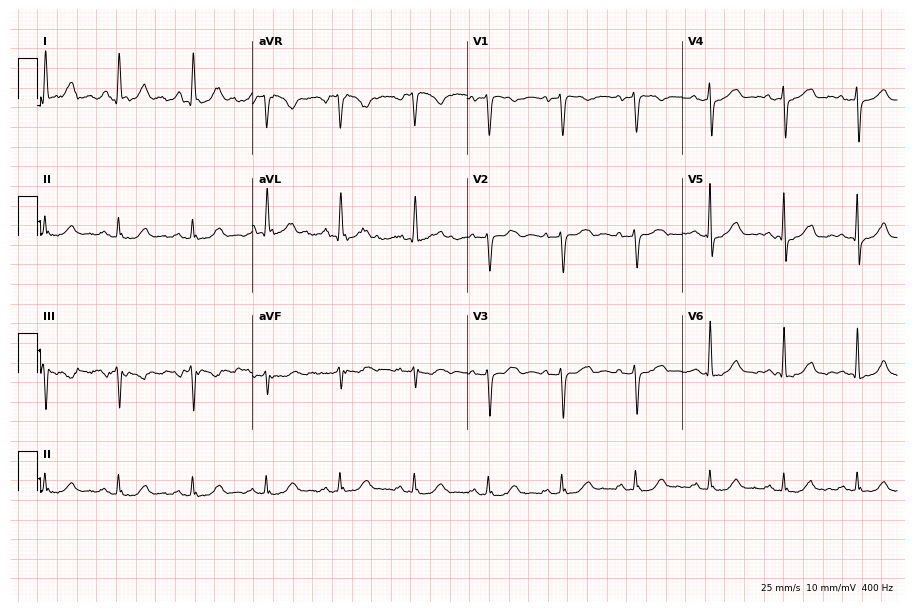
Resting 12-lead electrocardiogram (8.8-second recording at 400 Hz). Patient: an 80-year-old woman. None of these six findings is recorded: first-degree AV block, right bundle branch block, left bundle branch block, sinus bradycardia, atrial fibrillation, sinus tachycardia. Only these six findings were labelled.